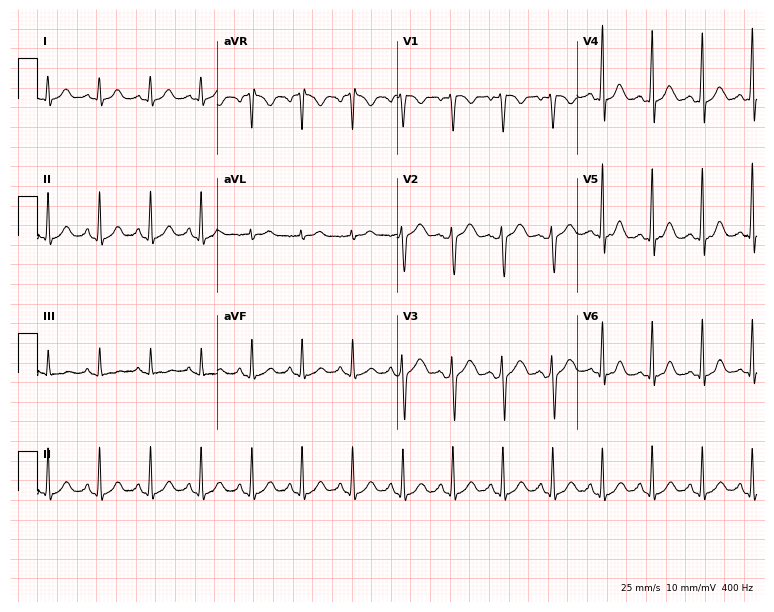
12-lead ECG from a 29-year-old female (7.3-second recording at 400 Hz). Shows sinus tachycardia (a sinus rate of 100 beats per minute or more).